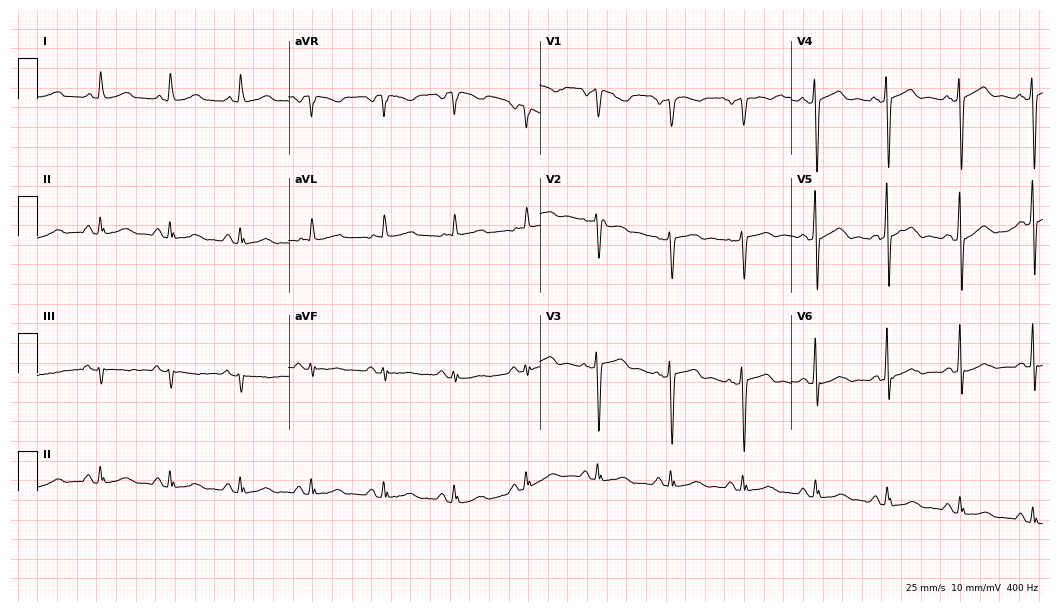
12-lead ECG (10.2-second recording at 400 Hz) from a 62-year-old female. Labelled as a normal ECG.